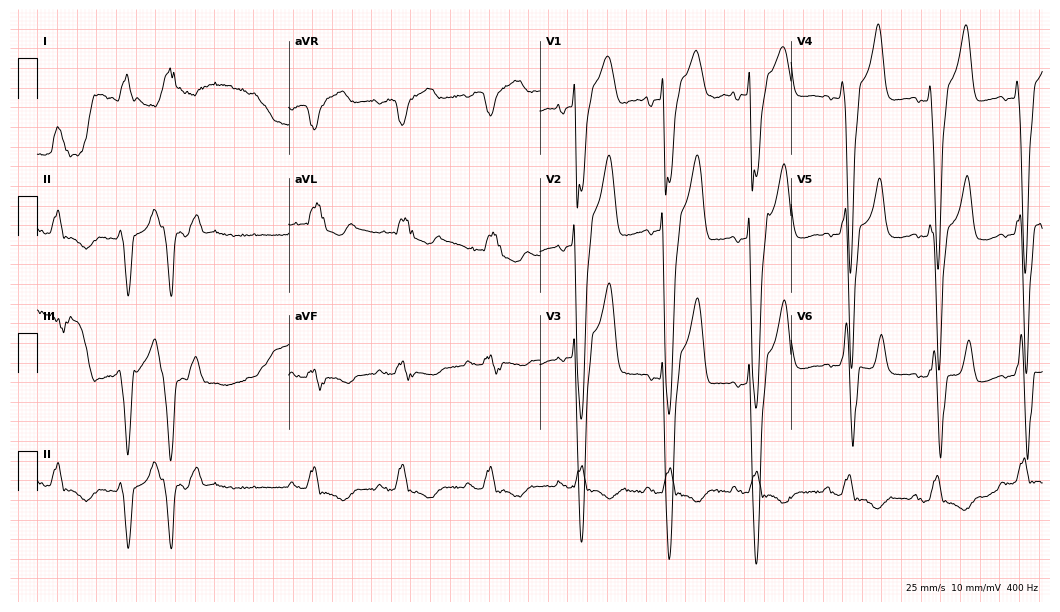
Resting 12-lead electrocardiogram (10.2-second recording at 400 Hz). Patient: a man, 81 years old. The tracing shows left bundle branch block.